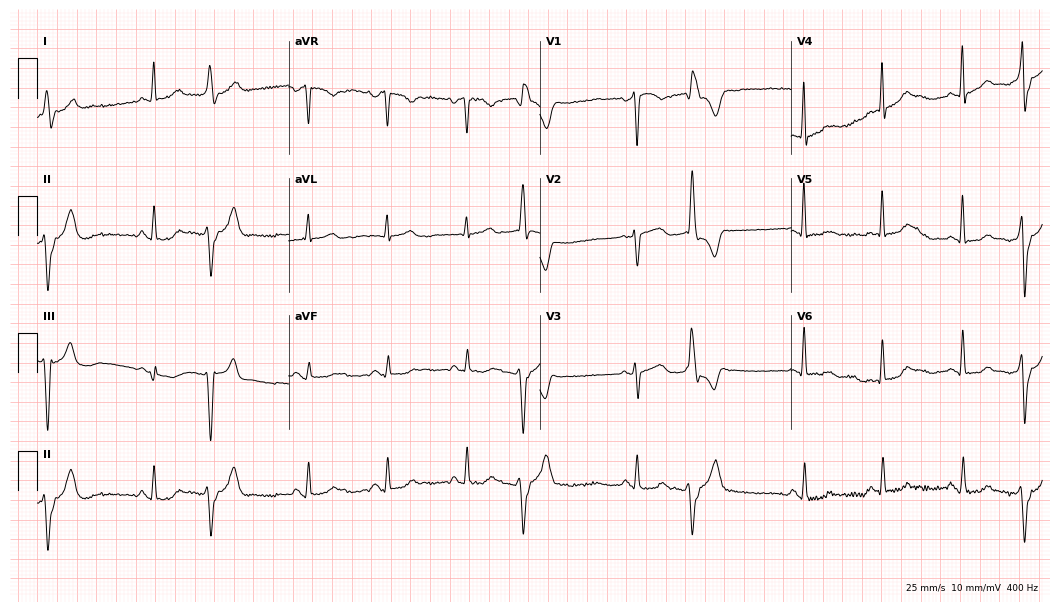
12-lead ECG from a 47-year-old woman (10.2-second recording at 400 Hz). No first-degree AV block, right bundle branch block, left bundle branch block, sinus bradycardia, atrial fibrillation or sinus tachycardia recorded for this tracing.